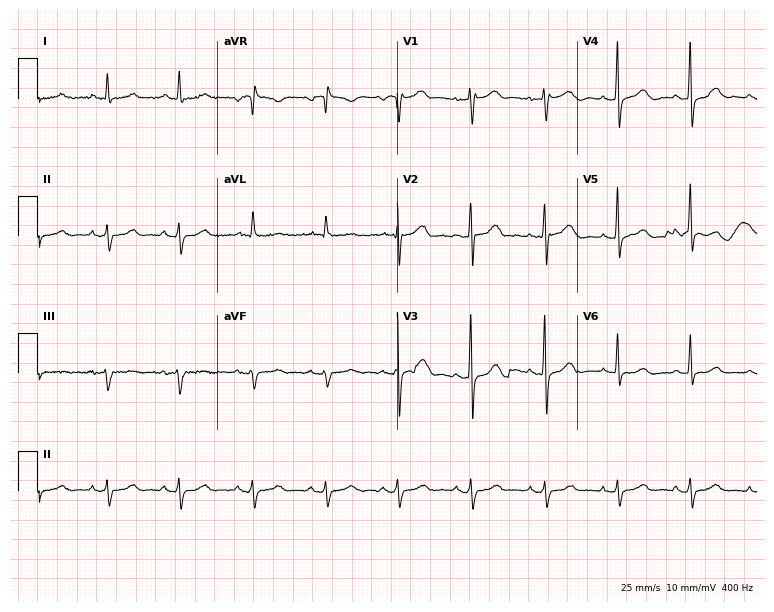
Electrocardiogram, a woman, 63 years old. Overall reading on record: normal ECG.